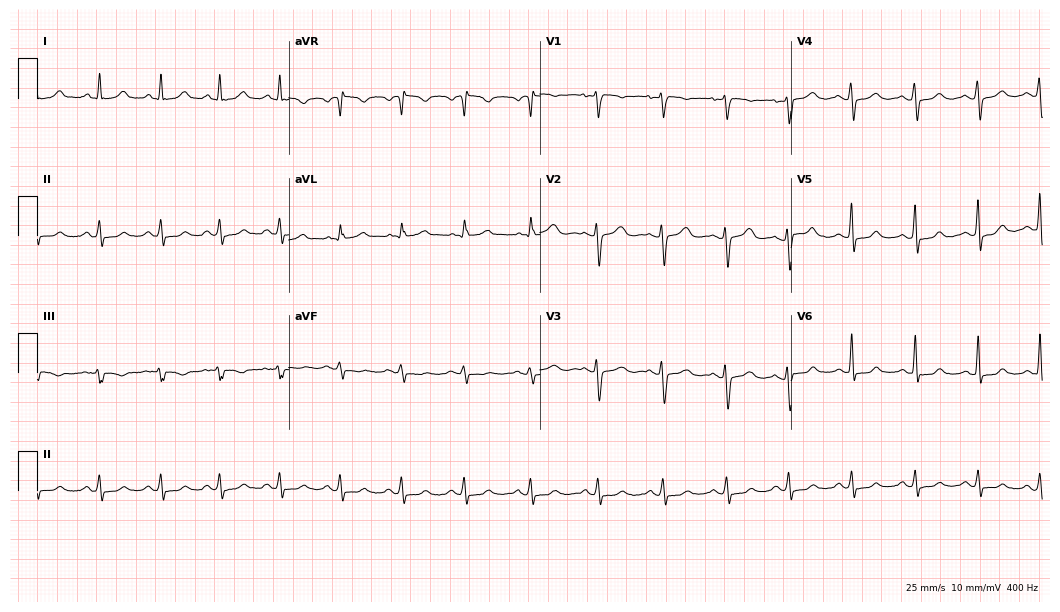
12-lead ECG from a female, 41 years old. Screened for six findings — first-degree AV block, right bundle branch block, left bundle branch block, sinus bradycardia, atrial fibrillation, sinus tachycardia — none is recorded. Findings outside these six are not listed.